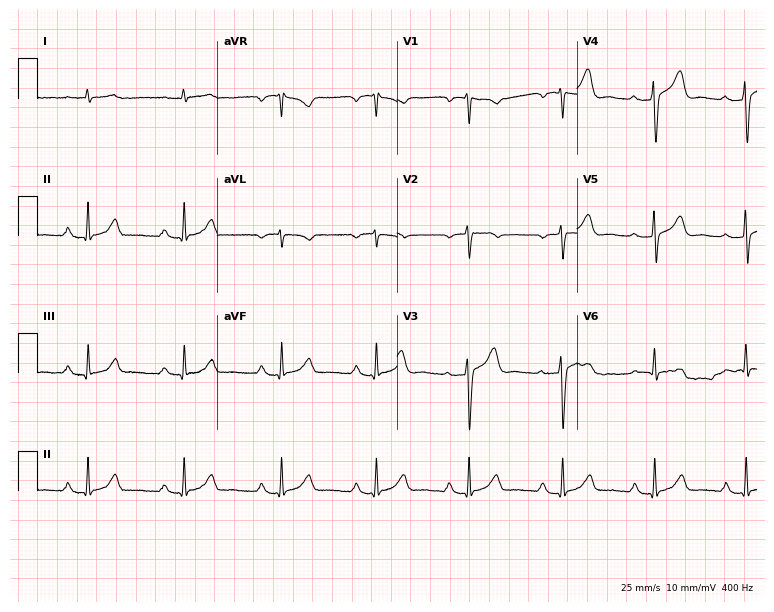
12-lead ECG from a 42-year-old male patient. Findings include first-degree AV block.